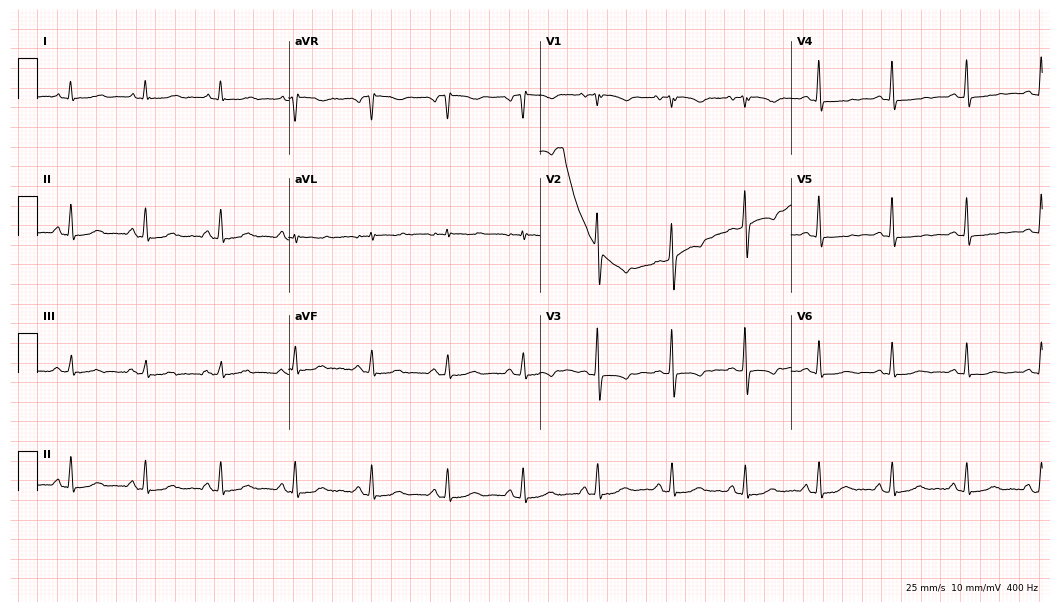
Resting 12-lead electrocardiogram. Patient: a 54-year-old female. None of these six findings is recorded: first-degree AV block, right bundle branch block, left bundle branch block, sinus bradycardia, atrial fibrillation, sinus tachycardia.